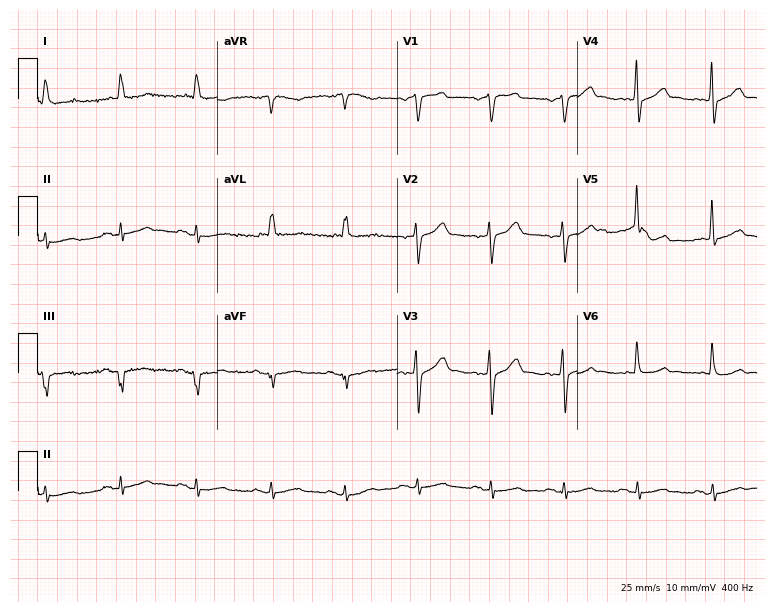
12-lead ECG from a male patient, 66 years old. Labelled as a normal ECG.